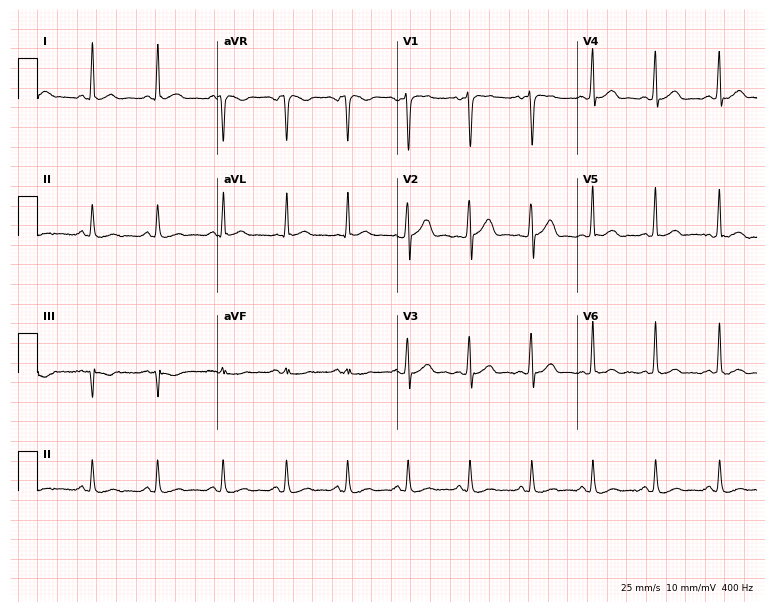
ECG (7.3-second recording at 400 Hz) — a 43-year-old female. Labelled as a normal ECG.